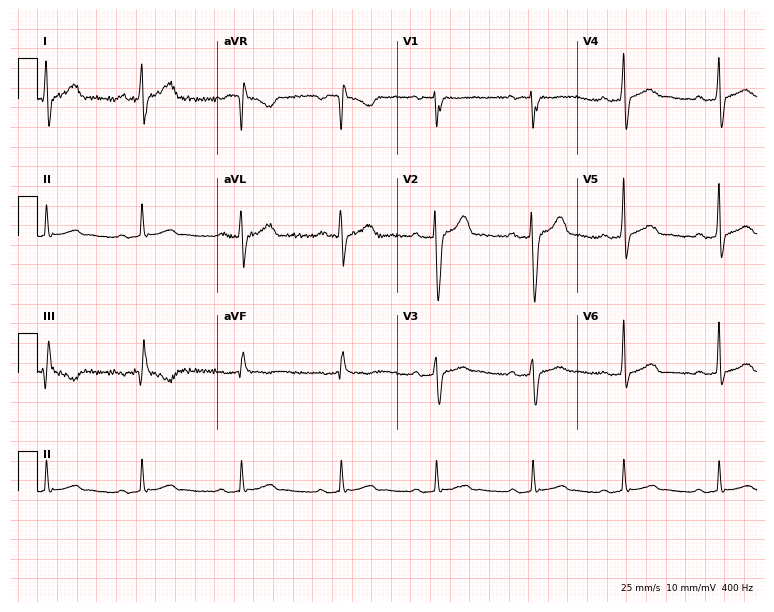
ECG (7.3-second recording at 400 Hz) — a 38-year-old male patient. Labelled as a normal ECG.